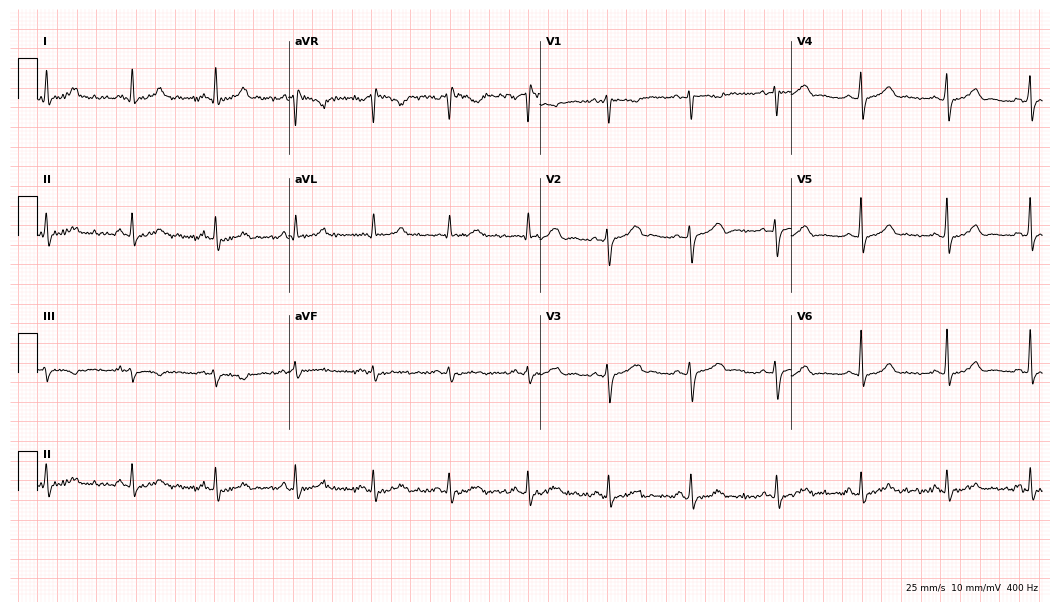
Resting 12-lead electrocardiogram (10.2-second recording at 400 Hz). Patient: a 26-year-old female. Read as a normal ECG.